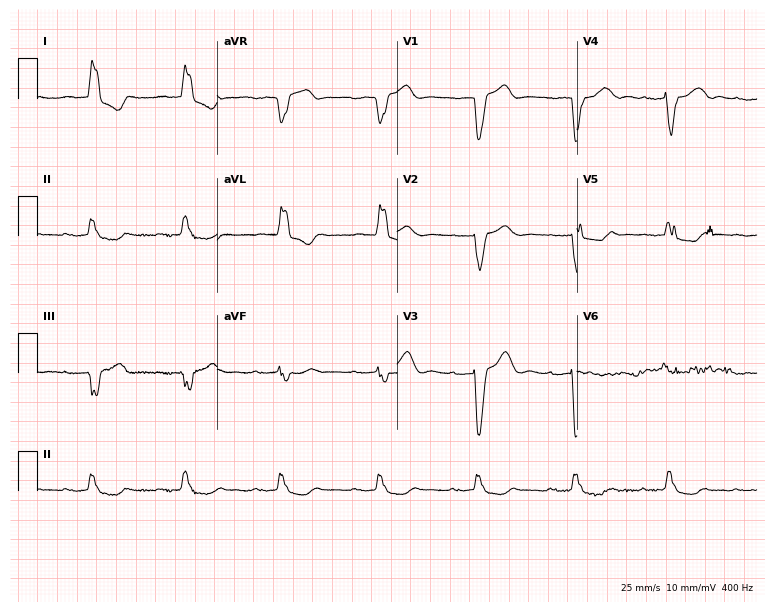
12-lead ECG from a female, 80 years old (7.3-second recording at 400 Hz). Shows first-degree AV block, left bundle branch block (LBBB).